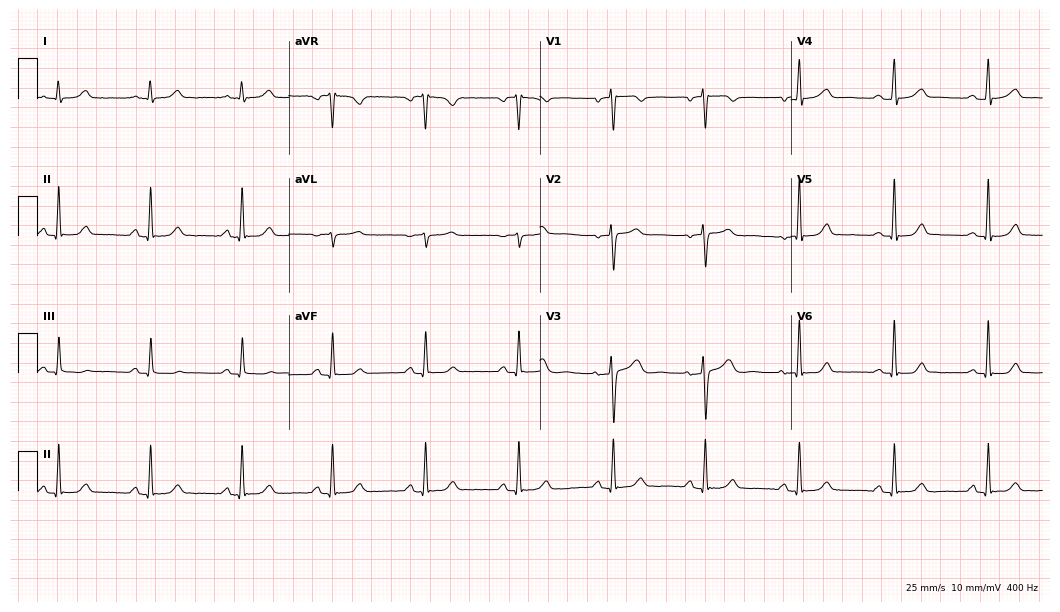
Standard 12-lead ECG recorded from a woman, 53 years old (10.2-second recording at 400 Hz). Read as a normal ECG.